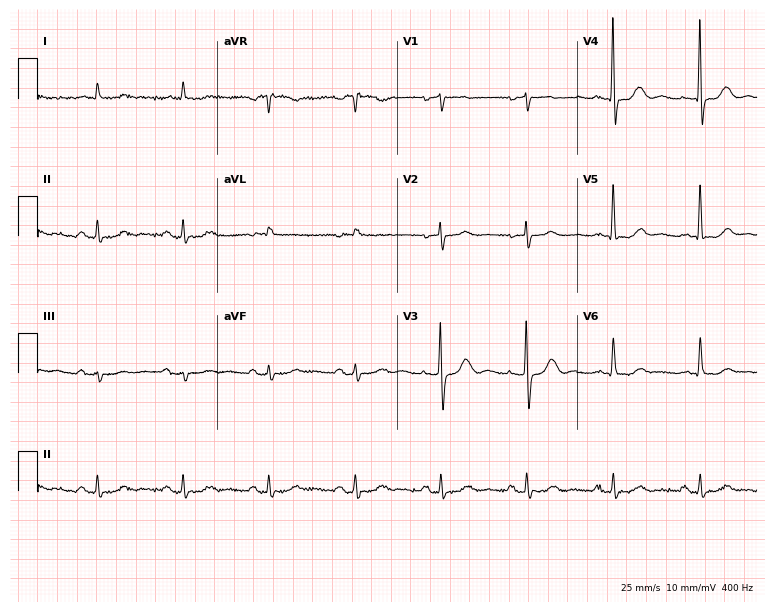
Resting 12-lead electrocardiogram (7.3-second recording at 400 Hz). Patient: a 71-year-old man. None of these six findings is recorded: first-degree AV block, right bundle branch block, left bundle branch block, sinus bradycardia, atrial fibrillation, sinus tachycardia. Other findings, if any, are not listed.